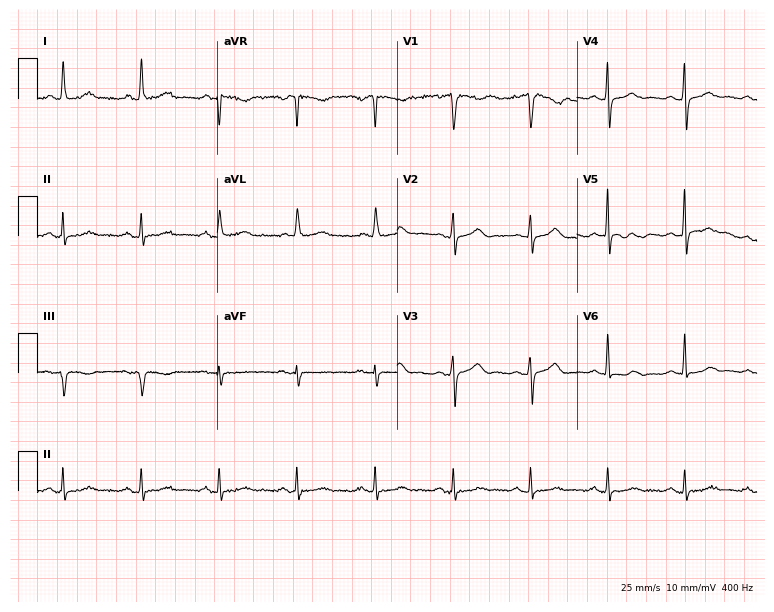
ECG (7.3-second recording at 400 Hz) — a 66-year-old female. Screened for six findings — first-degree AV block, right bundle branch block, left bundle branch block, sinus bradycardia, atrial fibrillation, sinus tachycardia — none is recorded. Findings outside these six are not listed.